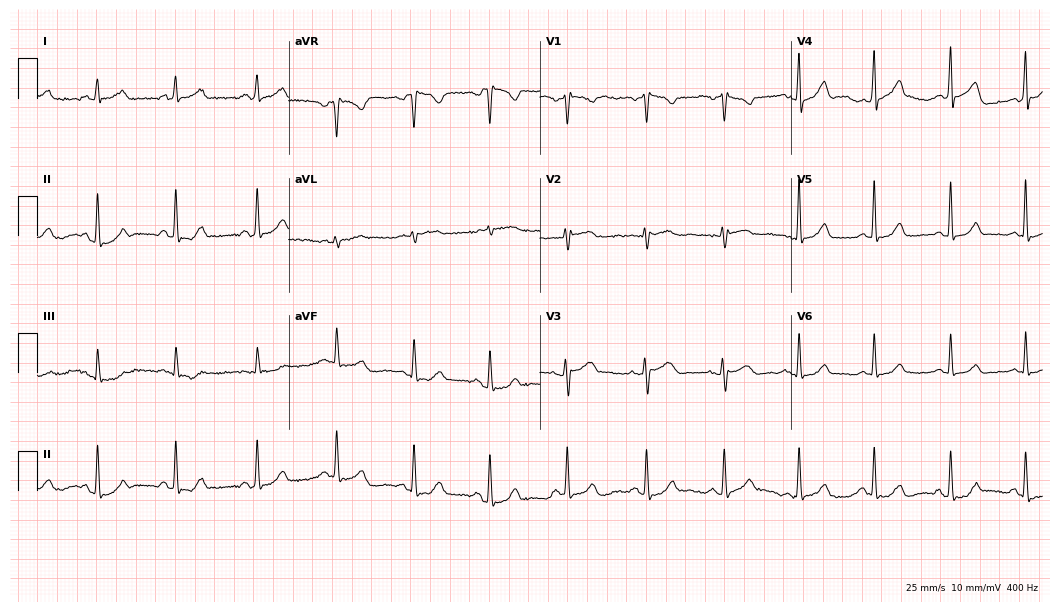
Standard 12-lead ECG recorded from a 40-year-old woman (10.2-second recording at 400 Hz). None of these six findings is recorded: first-degree AV block, right bundle branch block, left bundle branch block, sinus bradycardia, atrial fibrillation, sinus tachycardia.